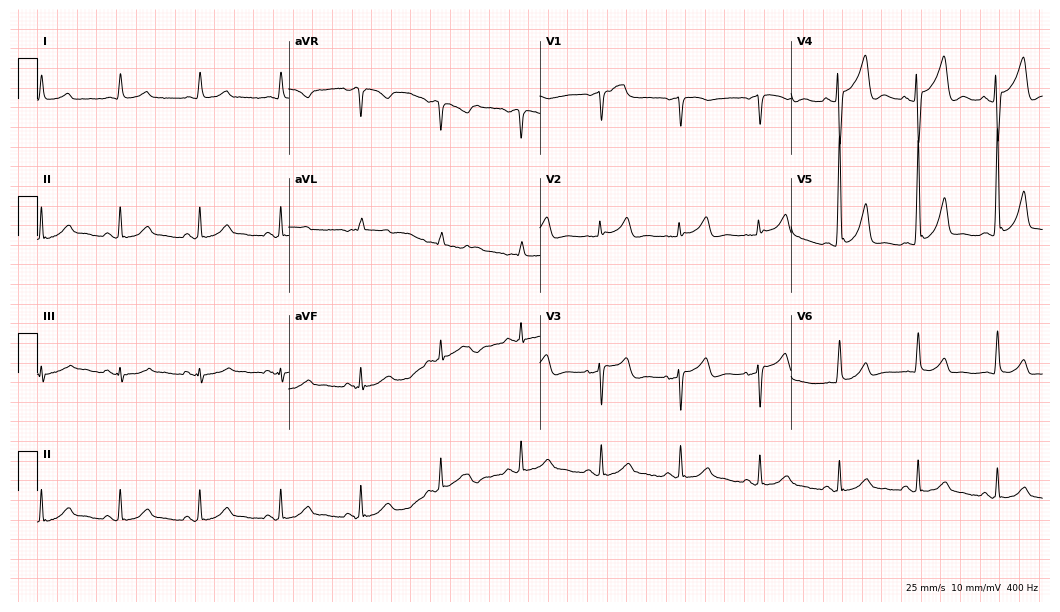
Resting 12-lead electrocardiogram. Patient: a 60-year-old male. None of these six findings is recorded: first-degree AV block, right bundle branch block, left bundle branch block, sinus bradycardia, atrial fibrillation, sinus tachycardia. Only these six findings were labelled.